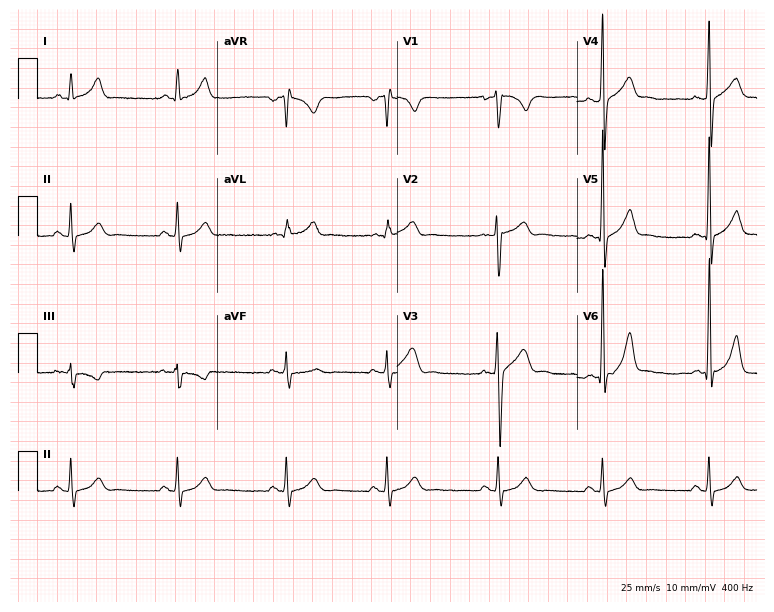
12-lead ECG from a man, 22 years old. Recorded interpretation: within normal limits.